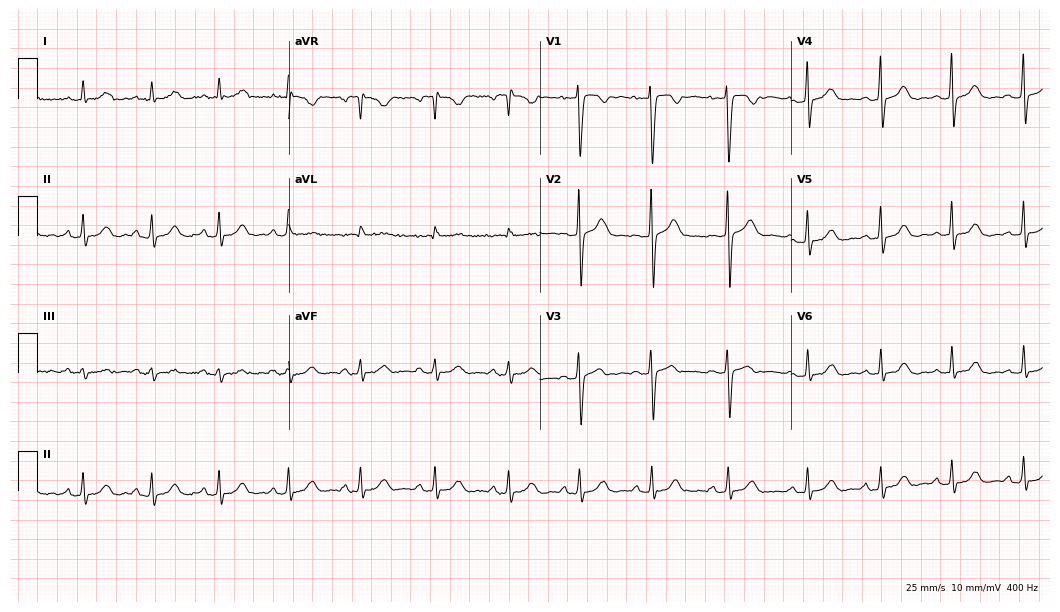
Electrocardiogram (10.2-second recording at 400 Hz), a 26-year-old female. Of the six screened findings (first-degree AV block, right bundle branch block, left bundle branch block, sinus bradycardia, atrial fibrillation, sinus tachycardia), none is recorded. Only these six findings were labelled.